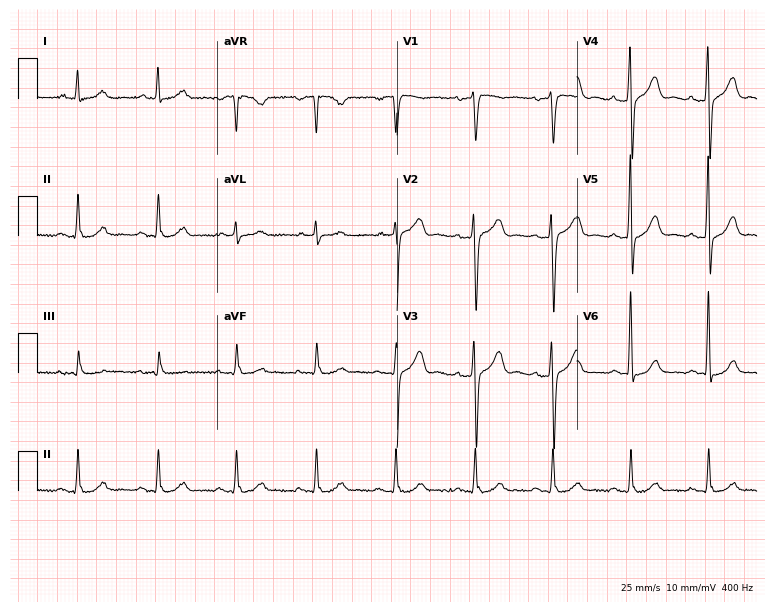
ECG (7.3-second recording at 400 Hz) — a 56-year-old male. Labelled as a normal ECG.